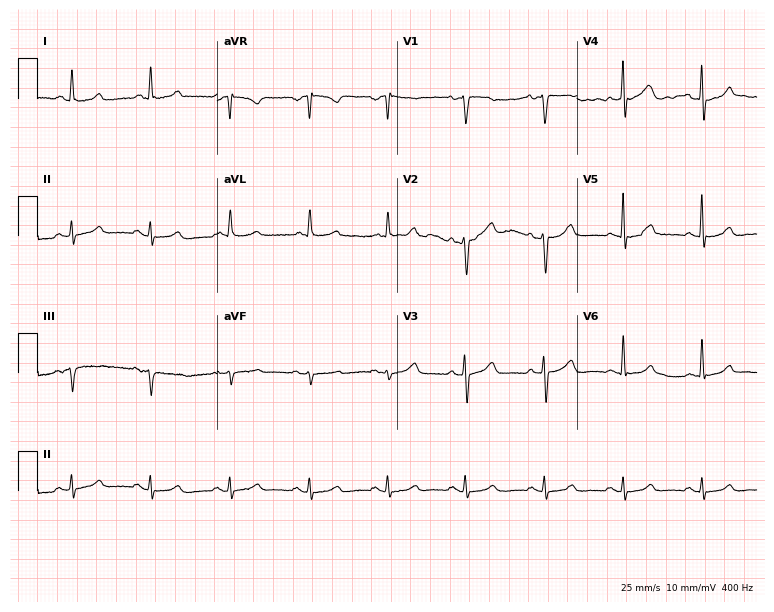
Resting 12-lead electrocardiogram (7.3-second recording at 400 Hz). Patient: a male, 75 years old. Read as a normal ECG.